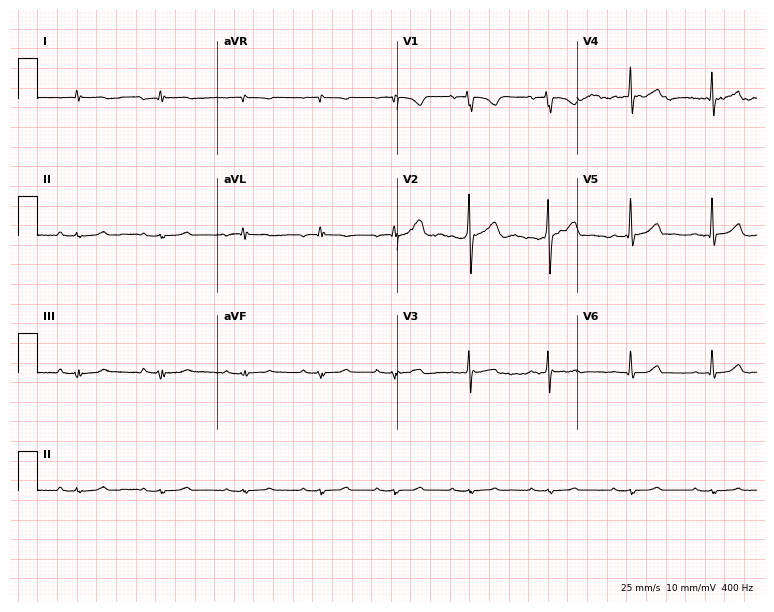
Resting 12-lead electrocardiogram. Patient: a man, 60 years old. None of these six findings is recorded: first-degree AV block, right bundle branch block, left bundle branch block, sinus bradycardia, atrial fibrillation, sinus tachycardia. Other findings, if any, are not listed.